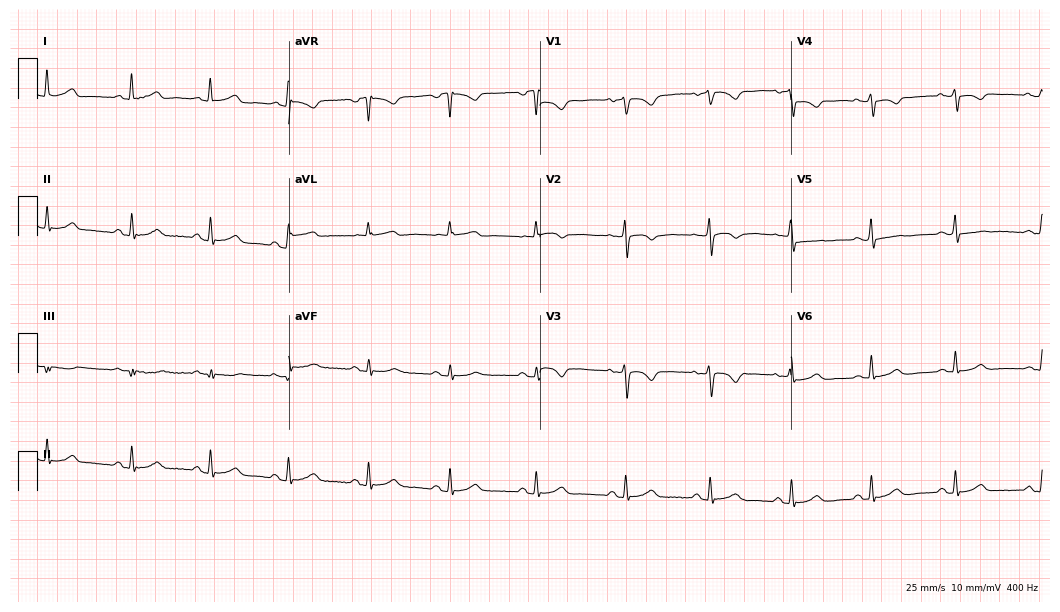
Electrocardiogram (10.2-second recording at 400 Hz), a woman, 46 years old. Of the six screened findings (first-degree AV block, right bundle branch block, left bundle branch block, sinus bradycardia, atrial fibrillation, sinus tachycardia), none is recorded. Only these six findings were labelled.